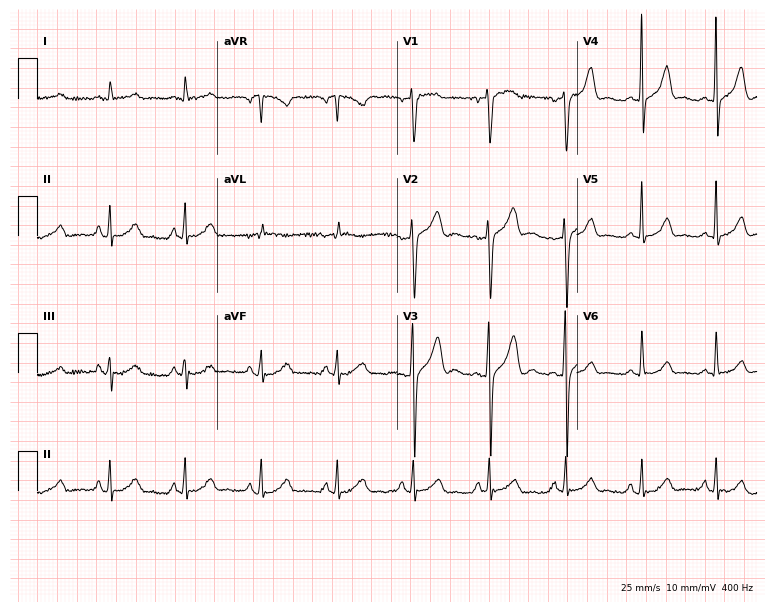
Electrocardiogram (7.3-second recording at 400 Hz), a man, 43 years old. Overall reading on record: normal ECG.